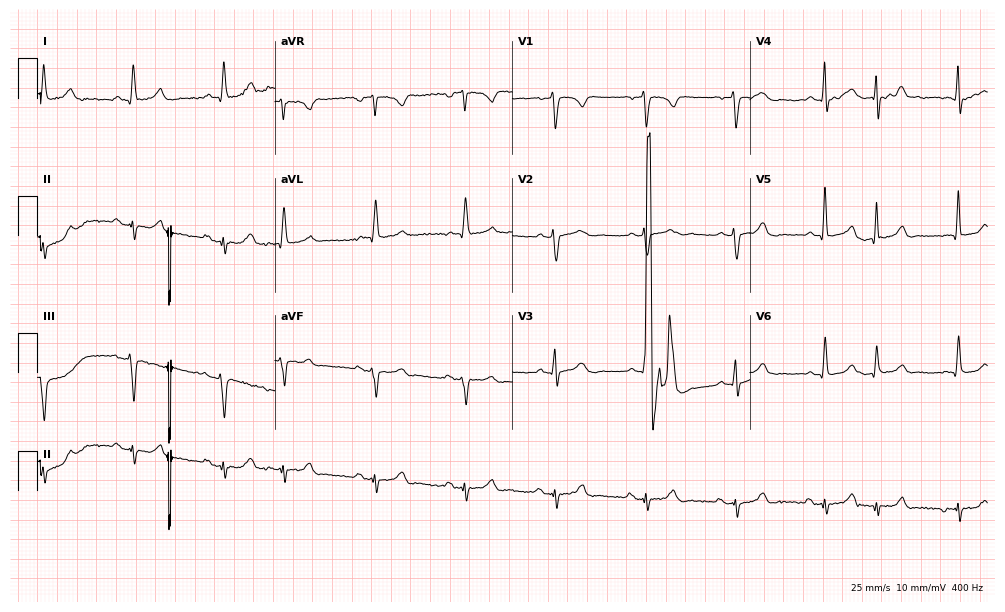
ECG — an 80-year-old female. Screened for six findings — first-degree AV block, right bundle branch block (RBBB), left bundle branch block (LBBB), sinus bradycardia, atrial fibrillation (AF), sinus tachycardia — none is recorded.